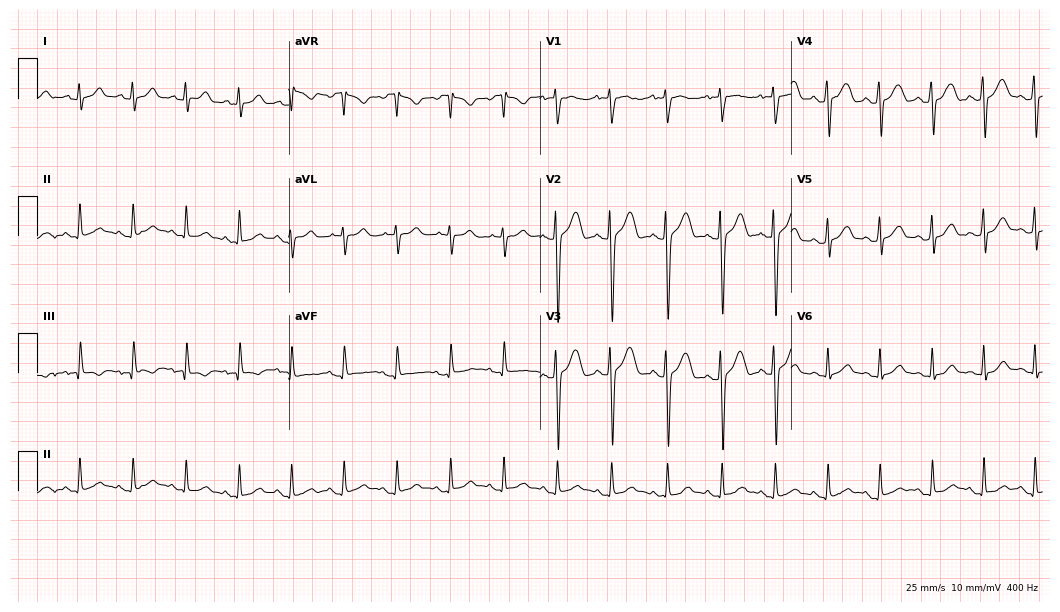
Electrocardiogram (10.2-second recording at 400 Hz), a 19-year-old male. Of the six screened findings (first-degree AV block, right bundle branch block, left bundle branch block, sinus bradycardia, atrial fibrillation, sinus tachycardia), none is recorded. Other findings, if any, are not listed.